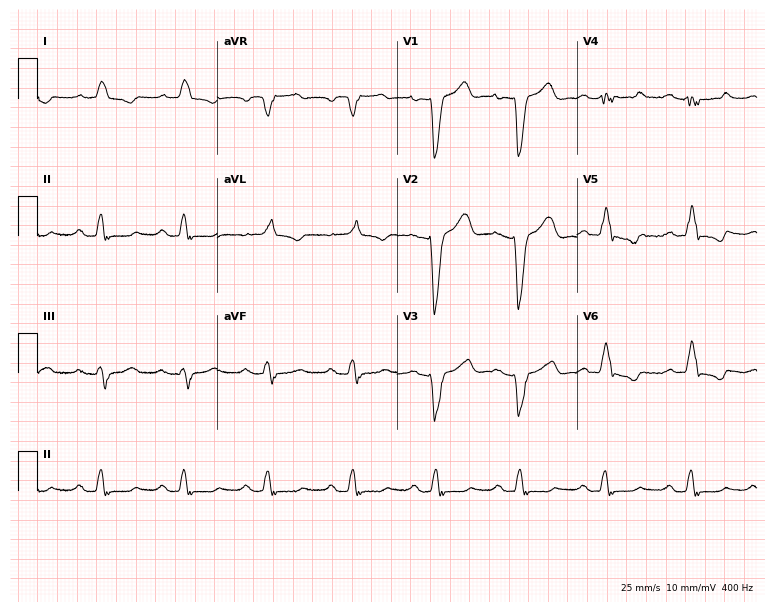
ECG (7.3-second recording at 400 Hz) — a man, 83 years old. Screened for six findings — first-degree AV block, right bundle branch block (RBBB), left bundle branch block (LBBB), sinus bradycardia, atrial fibrillation (AF), sinus tachycardia — none is recorded. Only these six findings were labelled.